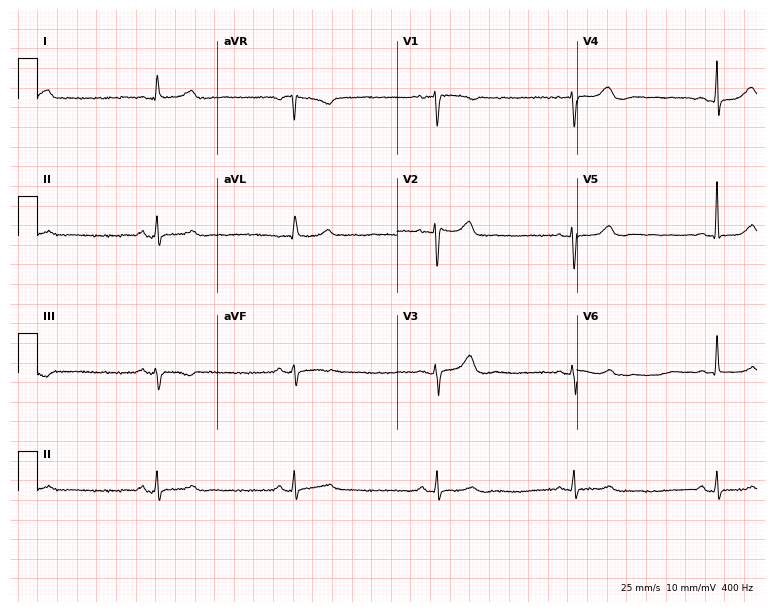
ECG (7.3-second recording at 400 Hz) — a female patient, 61 years old. Findings include sinus bradycardia (a sinus rate of 50 beats per minute or less).